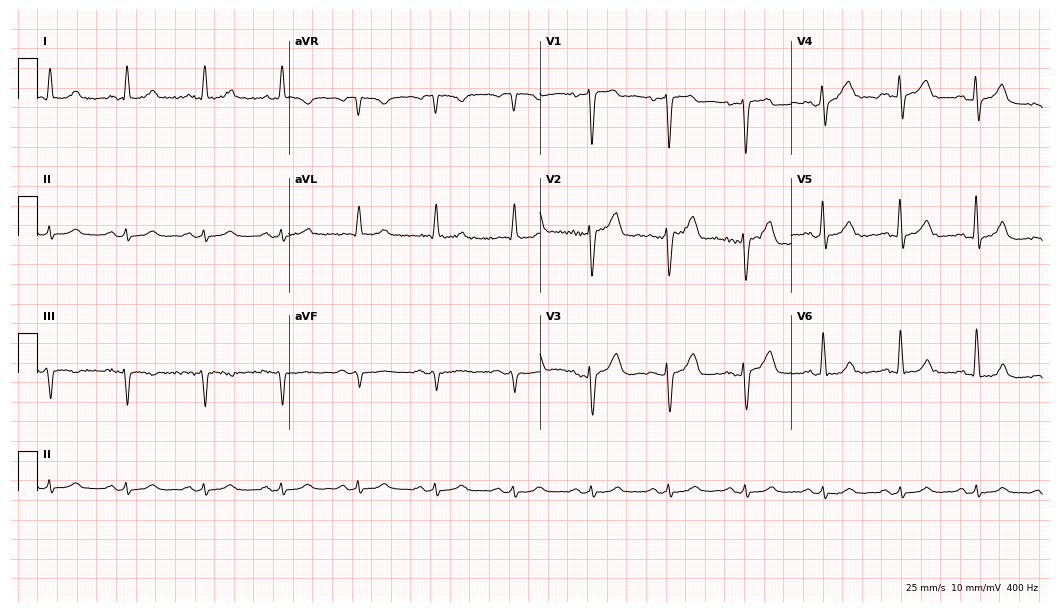
Resting 12-lead electrocardiogram. Patient: a male, 75 years old. Read as a normal ECG.